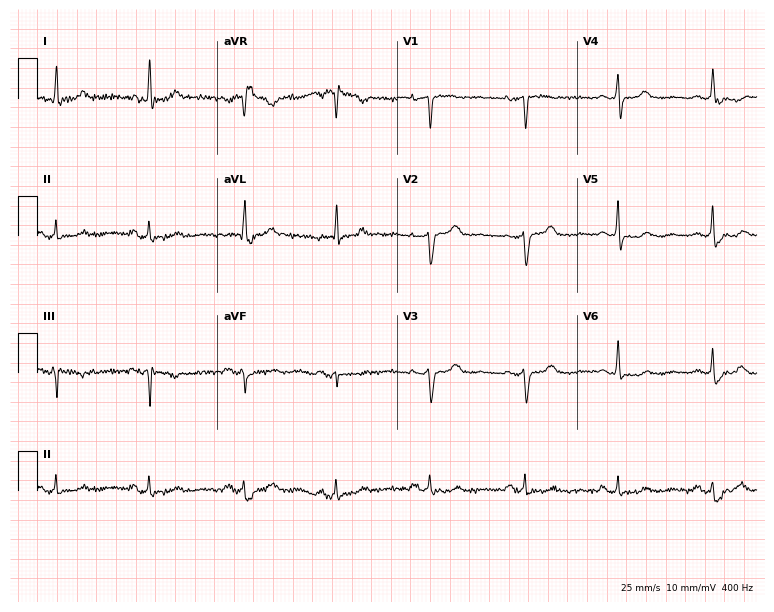
12-lead ECG from a 65-year-old female (7.3-second recording at 400 Hz). No first-degree AV block, right bundle branch block, left bundle branch block, sinus bradycardia, atrial fibrillation or sinus tachycardia recorded for this tracing. Only these six findings were labelled.